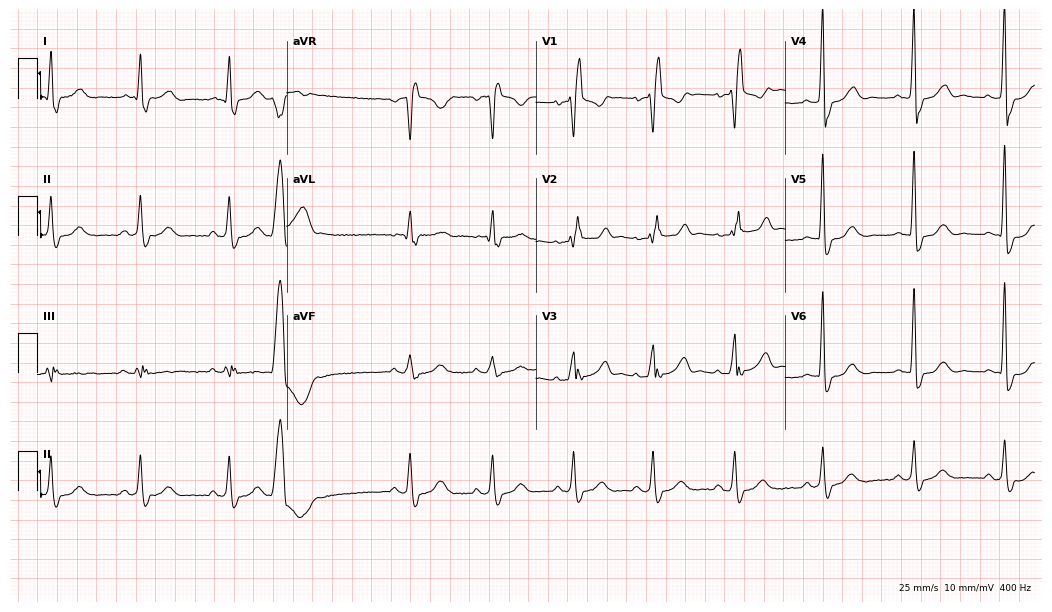
12-lead ECG (10.2-second recording at 400 Hz) from a 43-year-old man. Findings include right bundle branch block.